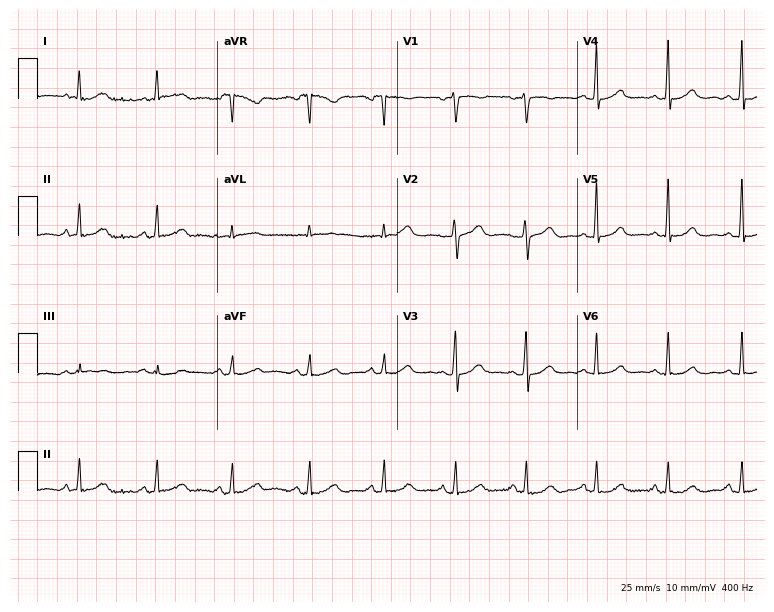
12-lead ECG (7.3-second recording at 400 Hz) from a female patient, 32 years old. Labelled as a normal ECG.